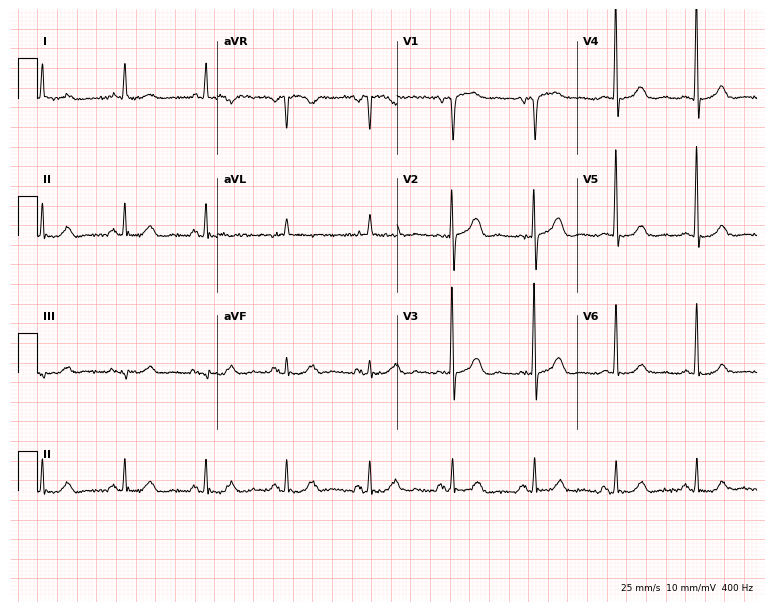
Electrocardiogram (7.3-second recording at 400 Hz), a 58-year-old female. Overall reading on record: normal ECG.